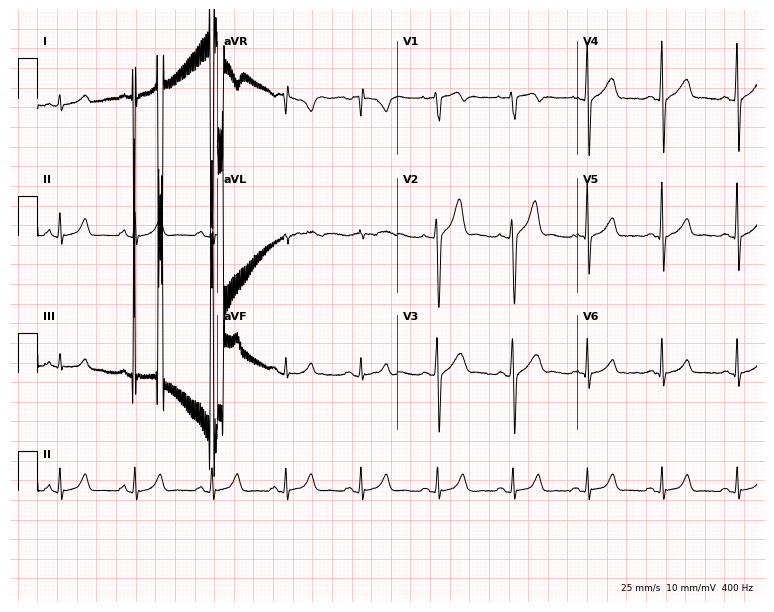
ECG — a 19-year-old man. Labelled as a normal ECG.